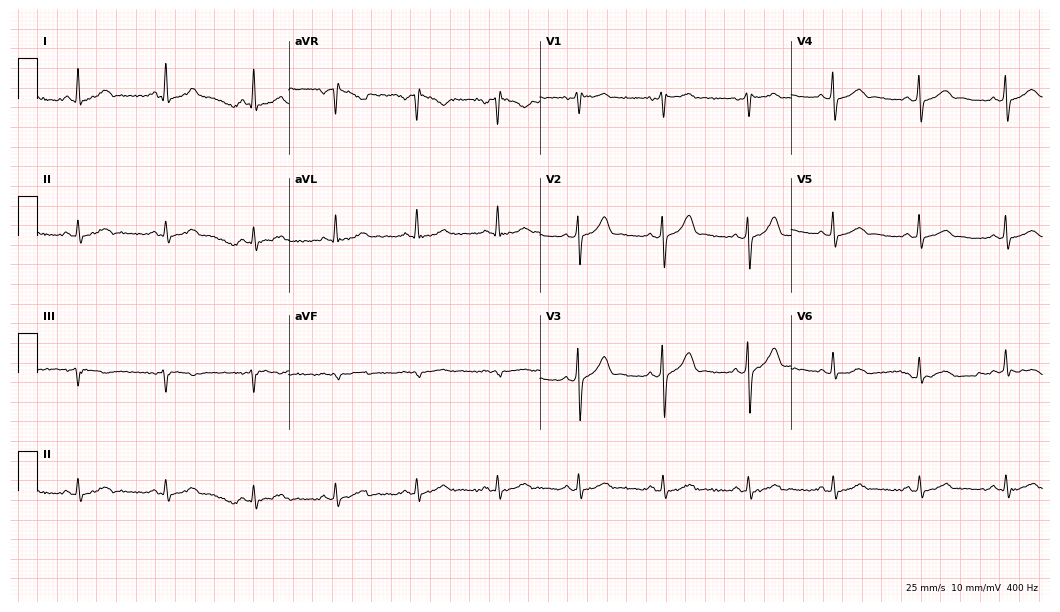
Electrocardiogram (10.2-second recording at 400 Hz), a male, 40 years old. Overall reading on record: normal ECG.